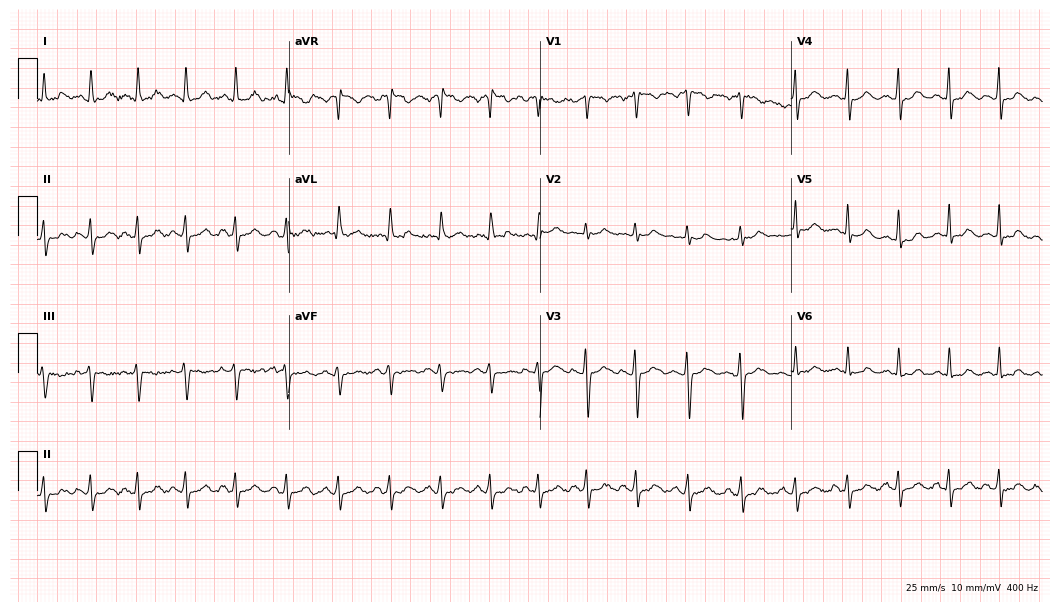
Resting 12-lead electrocardiogram. Patient: a 29-year-old female. The tracing shows sinus tachycardia (a sinus rate of 100 beats per minute or more).